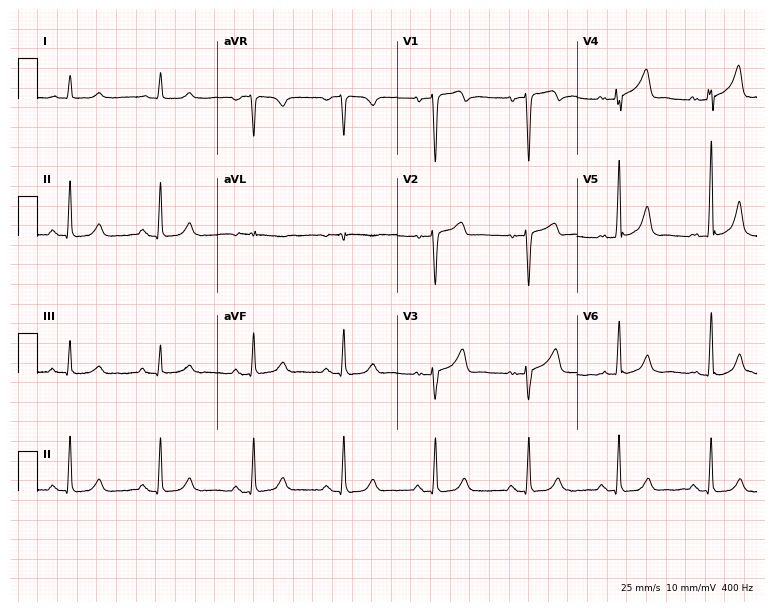
ECG (7.3-second recording at 400 Hz) — a 61-year-old man. Screened for six findings — first-degree AV block, right bundle branch block, left bundle branch block, sinus bradycardia, atrial fibrillation, sinus tachycardia — none is recorded.